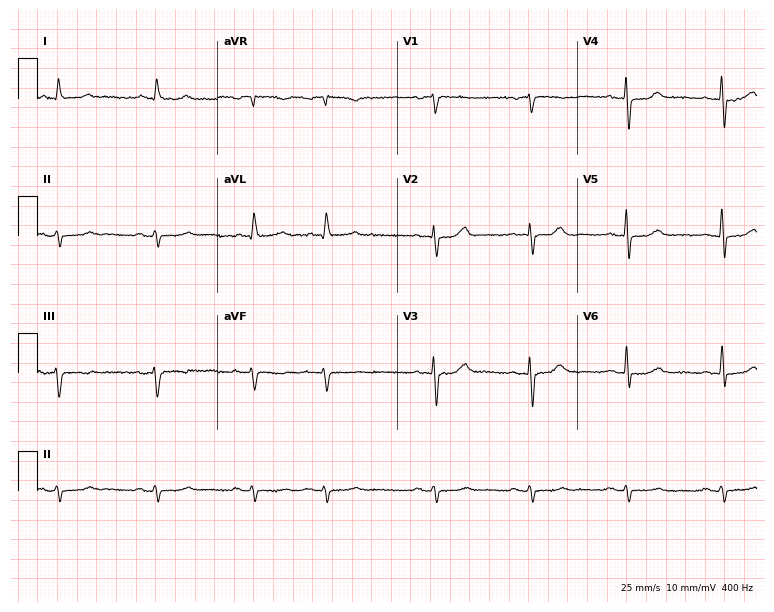
Resting 12-lead electrocardiogram. Patient: an 85-year-old male. None of these six findings is recorded: first-degree AV block, right bundle branch block, left bundle branch block, sinus bradycardia, atrial fibrillation, sinus tachycardia. Only these six findings were labelled.